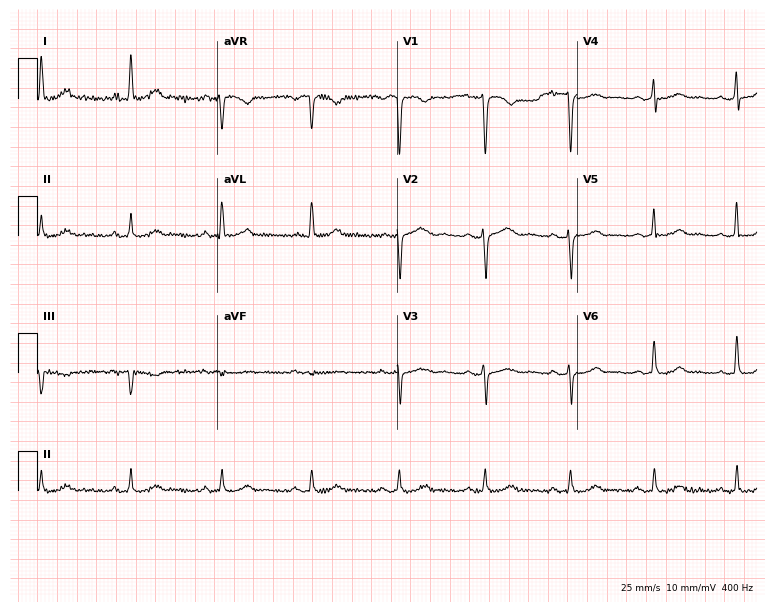
ECG (7.3-second recording at 400 Hz) — a woman, 43 years old. Labelled as a normal ECG.